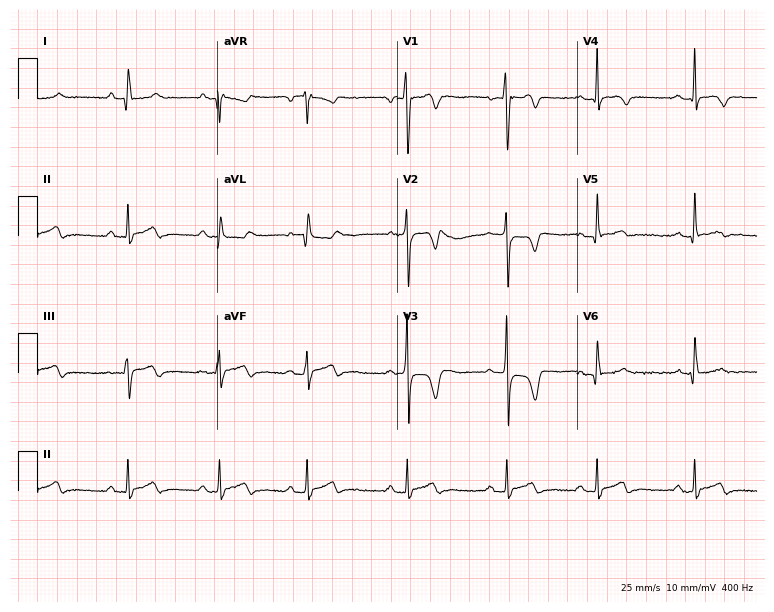
Standard 12-lead ECG recorded from a 24-year-old man (7.3-second recording at 400 Hz). None of these six findings is recorded: first-degree AV block, right bundle branch block, left bundle branch block, sinus bradycardia, atrial fibrillation, sinus tachycardia. Only these six findings were labelled.